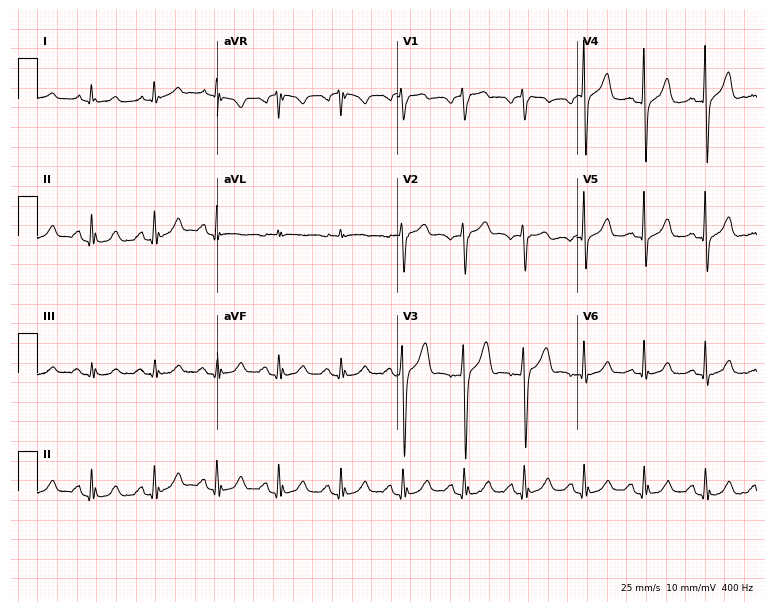
12-lead ECG from a male, 44 years old. No first-degree AV block, right bundle branch block, left bundle branch block, sinus bradycardia, atrial fibrillation or sinus tachycardia recorded for this tracing. Other findings, if any, are not listed.